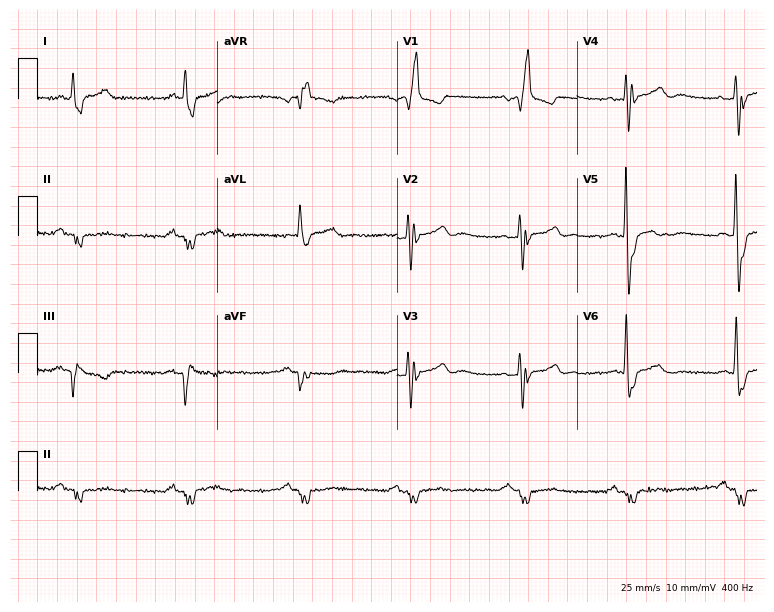
Electrocardiogram (7.3-second recording at 400 Hz), a 72-year-old male patient. Interpretation includes right bundle branch block (RBBB).